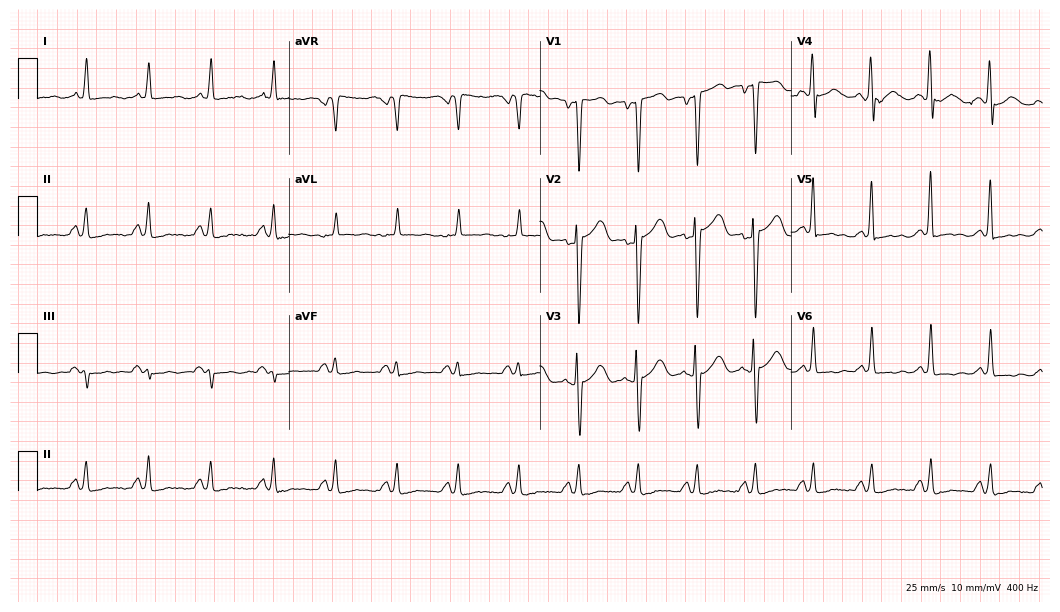
Standard 12-lead ECG recorded from a 57-year-old man. None of these six findings is recorded: first-degree AV block, right bundle branch block, left bundle branch block, sinus bradycardia, atrial fibrillation, sinus tachycardia.